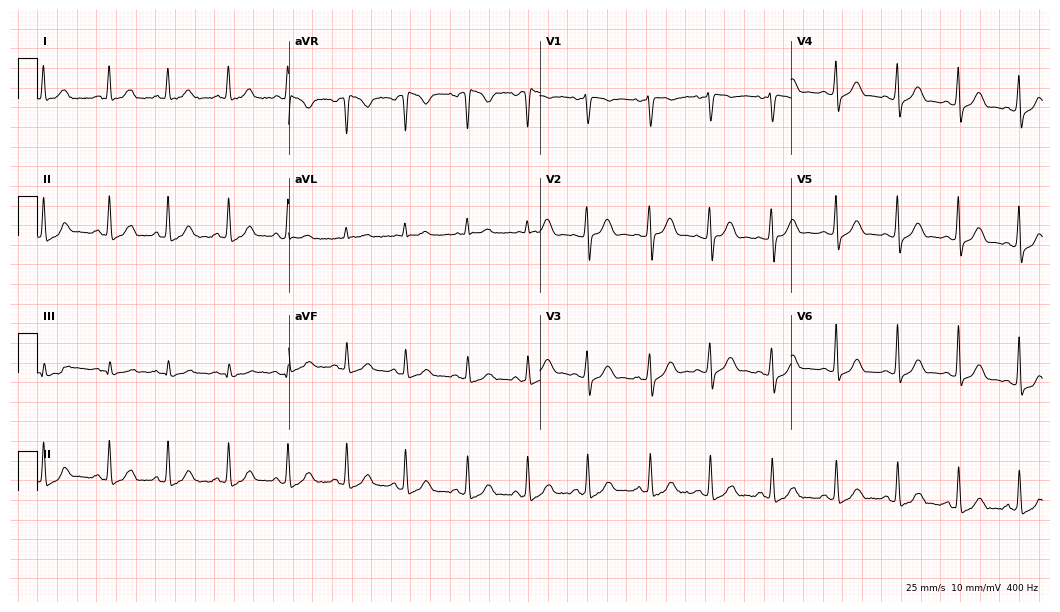
ECG (10.2-second recording at 400 Hz) — a female patient, 38 years old. Labelled as a normal ECG.